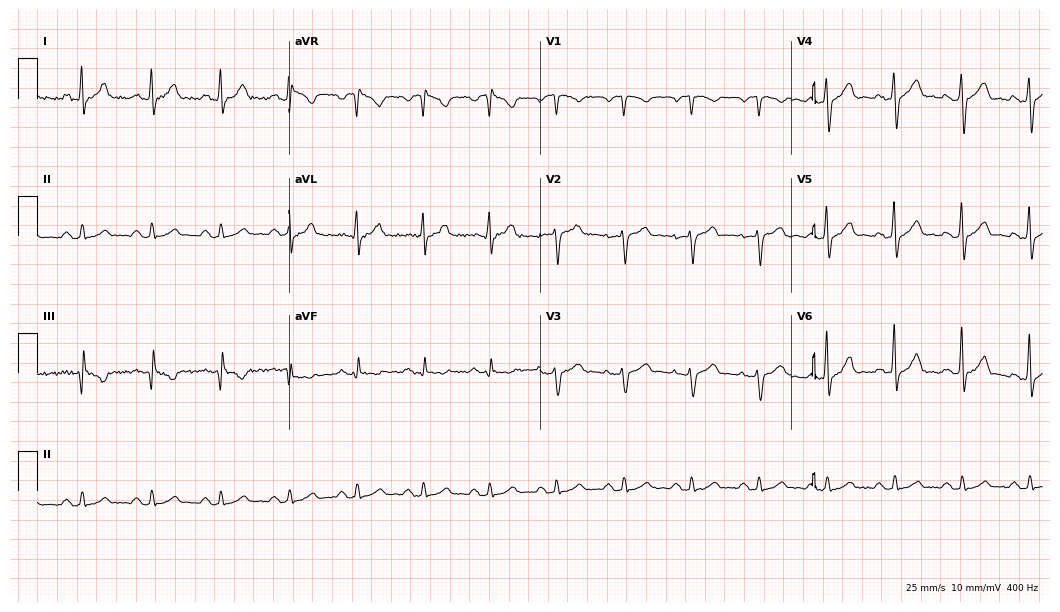
12-lead ECG (10.2-second recording at 400 Hz) from a male, 32 years old. Labelled as a normal ECG.